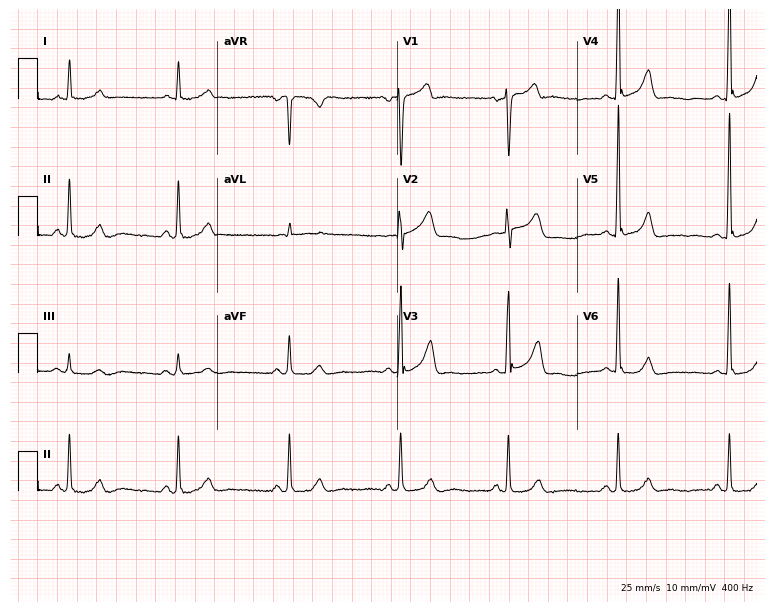
Electrocardiogram (7.3-second recording at 400 Hz), a man, 60 years old. Overall reading on record: normal ECG.